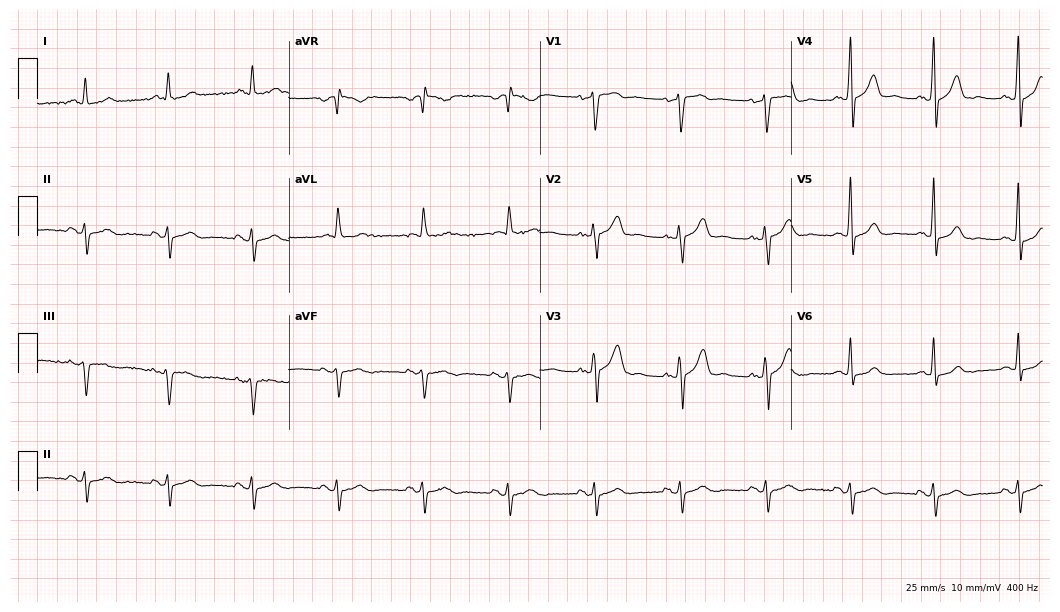
Standard 12-lead ECG recorded from a male patient, 75 years old (10.2-second recording at 400 Hz). None of these six findings is recorded: first-degree AV block, right bundle branch block, left bundle branch block, sinus bradycardia, atrial fibrillation, sinus tachycardia.